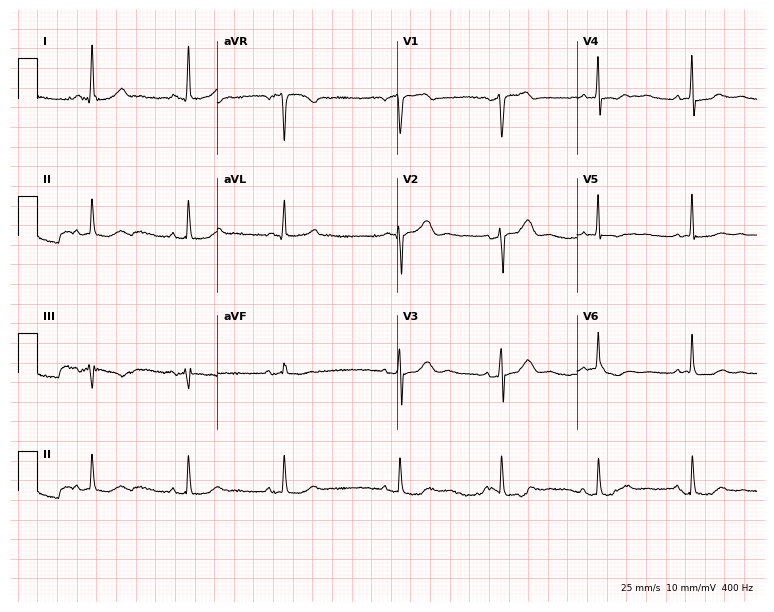
Electrocardiogram, a 57-year-old woman. Of the six screened findings (first-degree AV block, right bundle branch block (RBBB), left bundle branch block (LBBB), sinus bradycardia, atrial fibrillation (AF), sinus tachycardia), none is recorded.